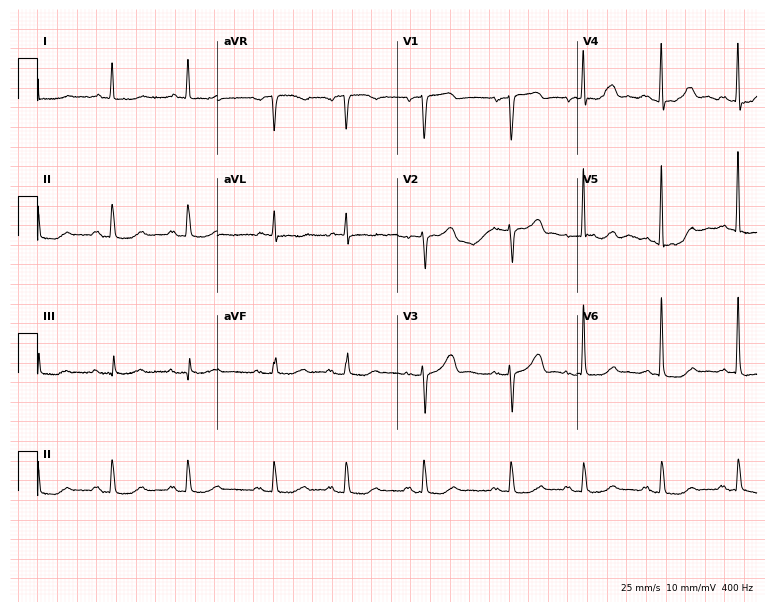
12-lead ECG (7.3-second recording at 400 Hz) from a 71-year-old female. Screened for six findings — first-degree AV block, right bundle branch block (RBBB), left bundle branch block (LBBB), sinus bradycardia, atrial fibrillation (AF), sinus tachycardia — none is recorded. Other findings, if any, are not listed.